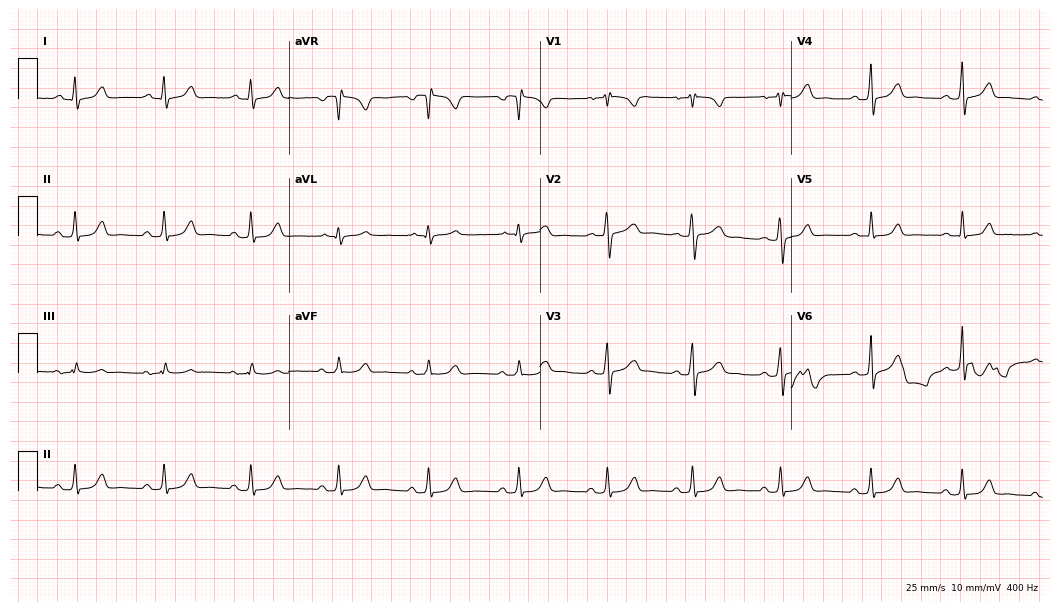
12-lead ECG from a woman, 22 years old (10.2-second recording at 400 Hz). Recorded interpretation: within normal limits.